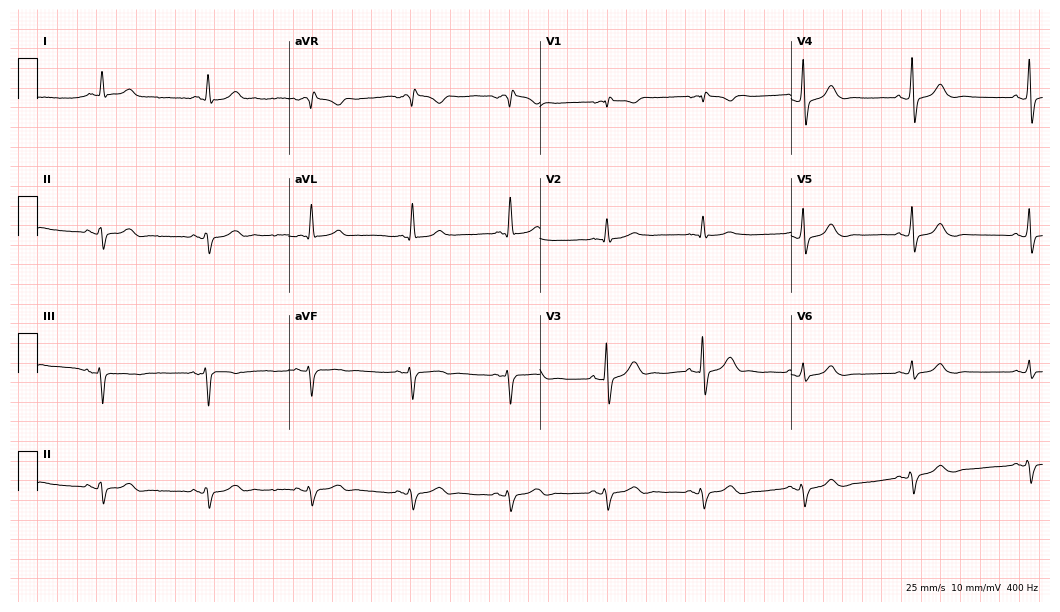
12-lead ECG (10.2-second recording at 400 Hz) from a man, 55 years old. Screened for six findings — first-degree AV block, right bundle branch block, left bundle branch block, sinus bradycardia, atrial fibrillation, sinus tachycardia — none is recorded.